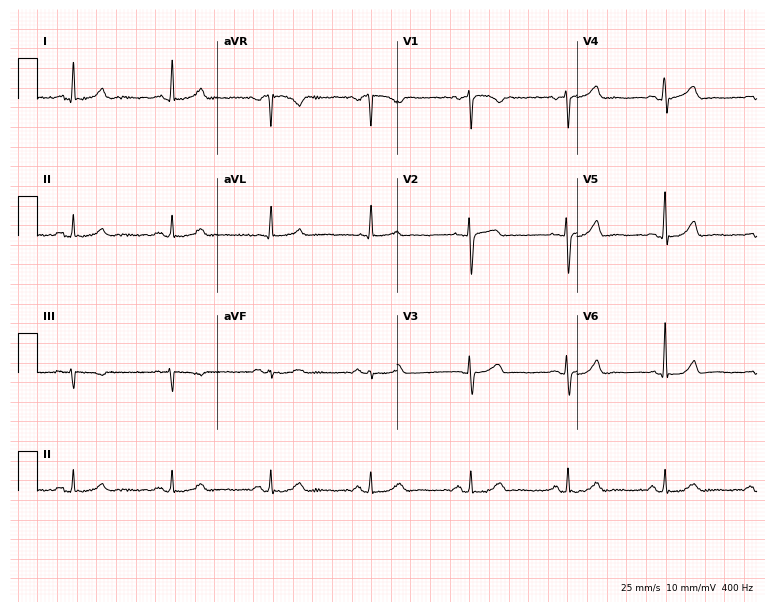
Electrocardiogram, a woman, 54 years old. Overall reading on record: normal ECG.